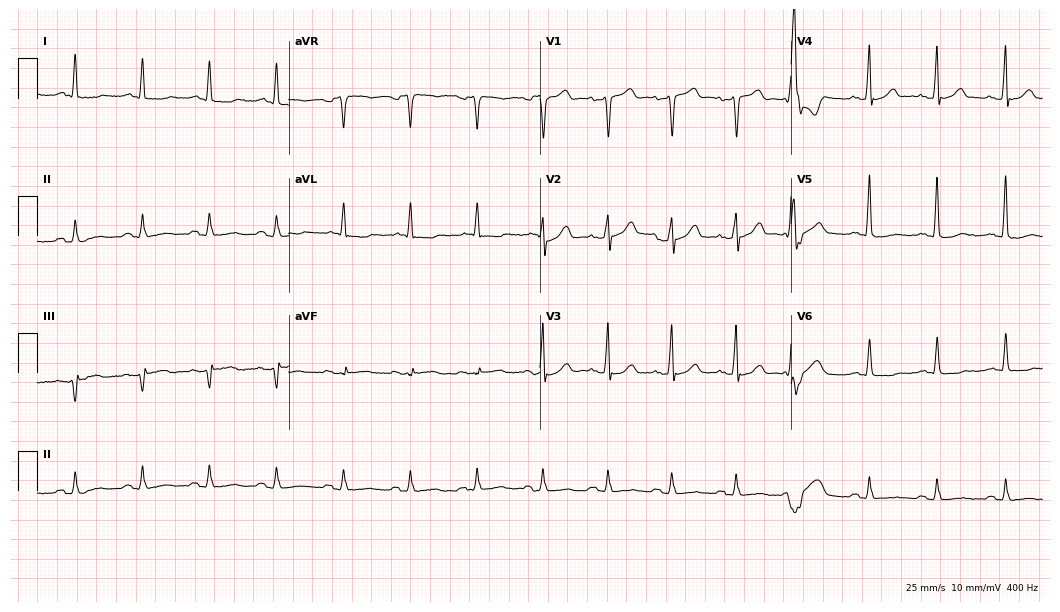
ECG — a male patient, 80 years old. Screened for six findings — first-degree AV block, right bundle branch block (RBBB), left bundle branch block (LBBB), sinus bradycardia, atrial fibrillation (AF), sinus tachycardia — none is recorded. Only these six findings were labelled.